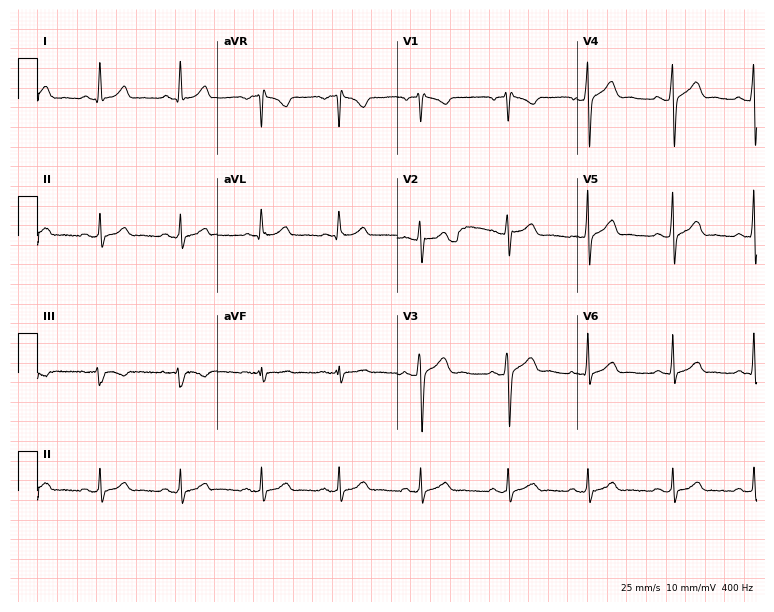
Standard 12-lead ECG recorded from a 31-year-old male. Read as a normal ECG.